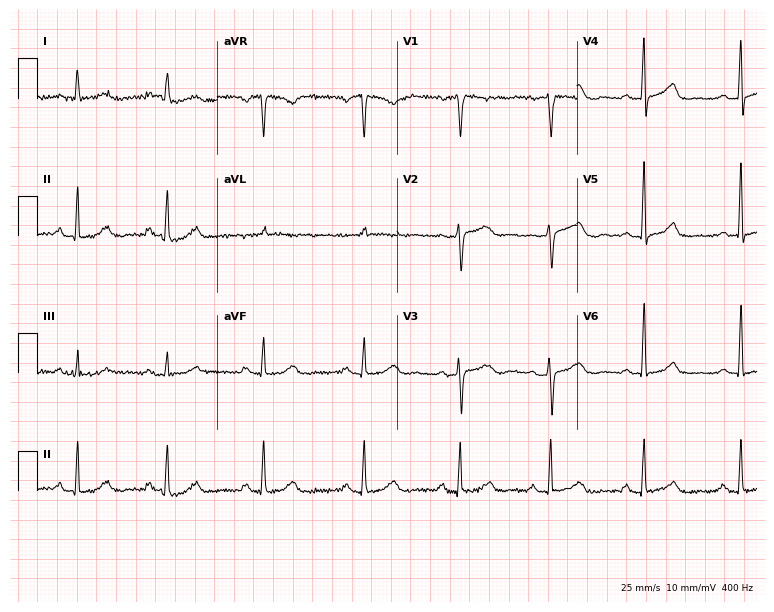
12-lead ECG from a female, 61 years old (7.3-second recording at 400 Hz). No first-degree AV block, right bundle branch block, left bundle branch block, sinus bradycardia, atrial fibrillation or sinus tachycardia recorded for this tracing.